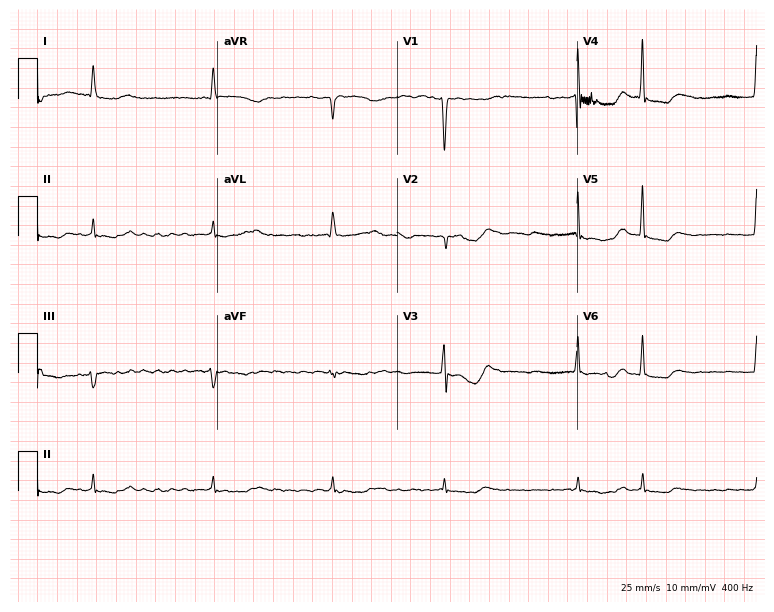
ECG (7.3-second recording at 400 Hz) — a man, 66 years old. Screened for six findings — first-degree AV block, right bundle branch block, left bundle branch block, sinus bradycardia, atrial fibrillation, sinus tachycardia — none is recorded. Other findings, if any, are not listed.